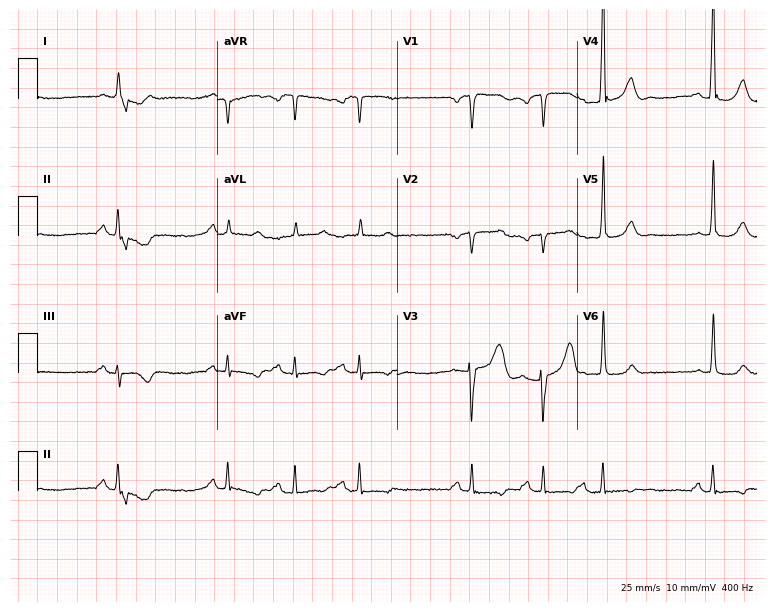
12-lead ECG from a 62-year-old female patient (7.3-second recording at 400 Hz). No first-degree AV block, right bundle branch block (RBBB), left bundle branch block (LBBB), sinus bradycardia, atrial fibrillation (AF) or sinus tachycardia recorded for this tracing.